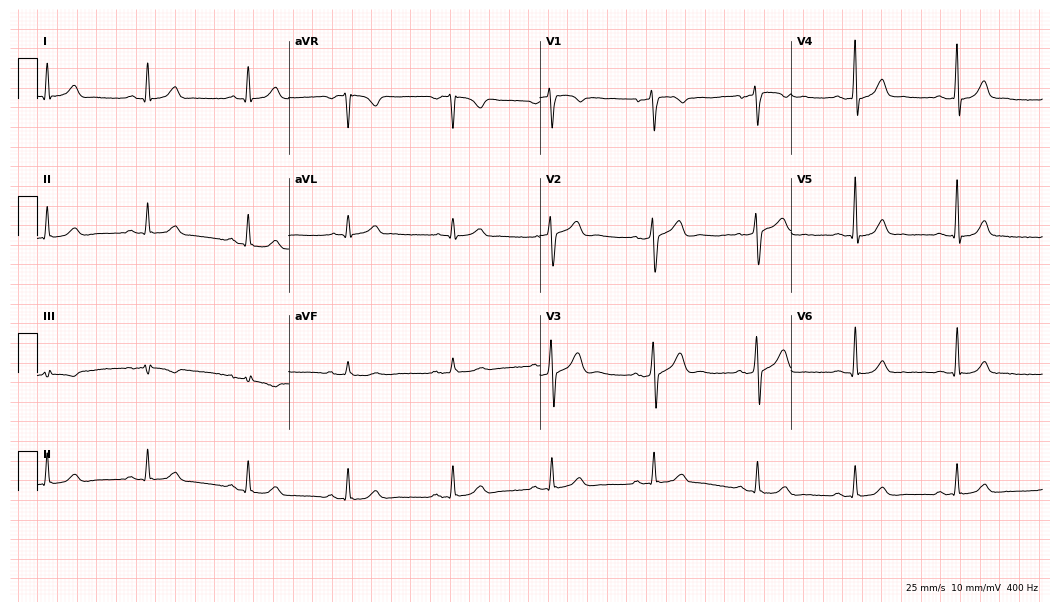
Standard 12-lead ECG recorded from a 45-year-old male patient (10.2-second recording at 400 Hz). Read as a normal ECG.